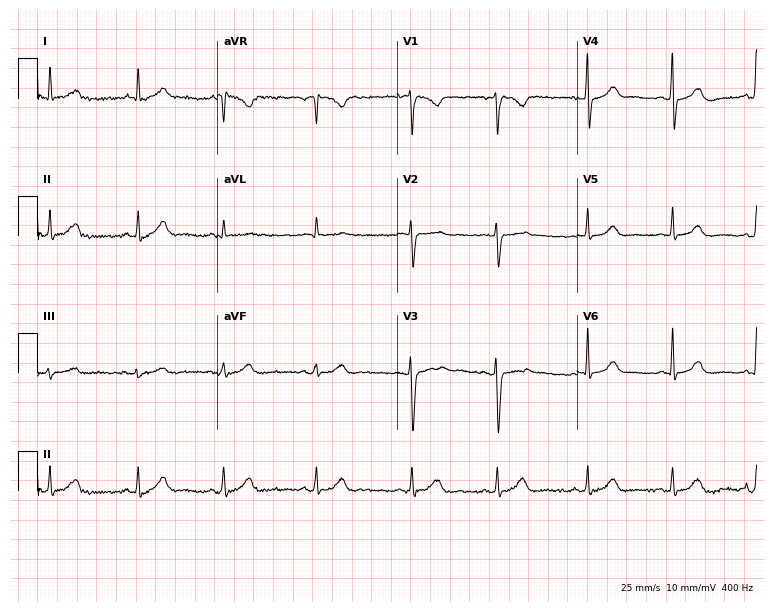
Electrocardiogram, a female patient, 33 years old. Overall reading on record: normal ECG.